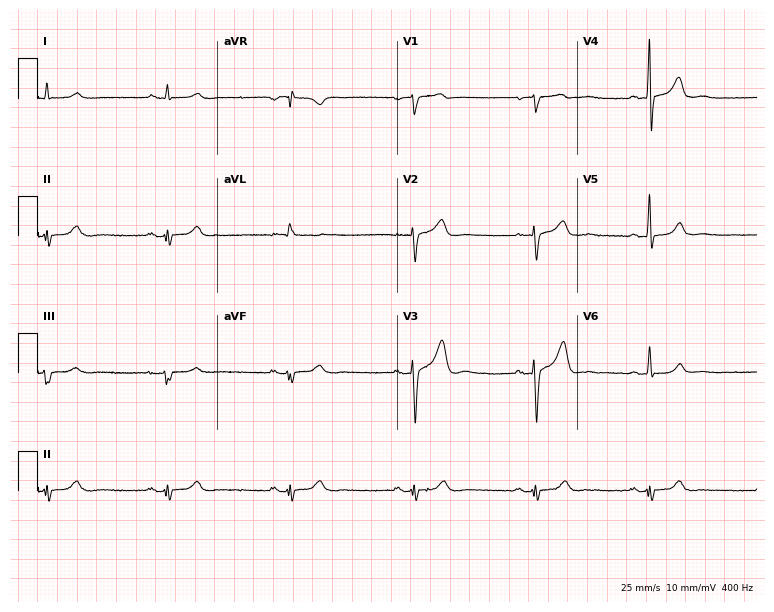
Standard 12-lead ECG recorded from a 61-year-old man (7.3-second recording at 400 Hz). The tracing shows sinus bradycardia (a sinus rate of 50 beats per minute or less).